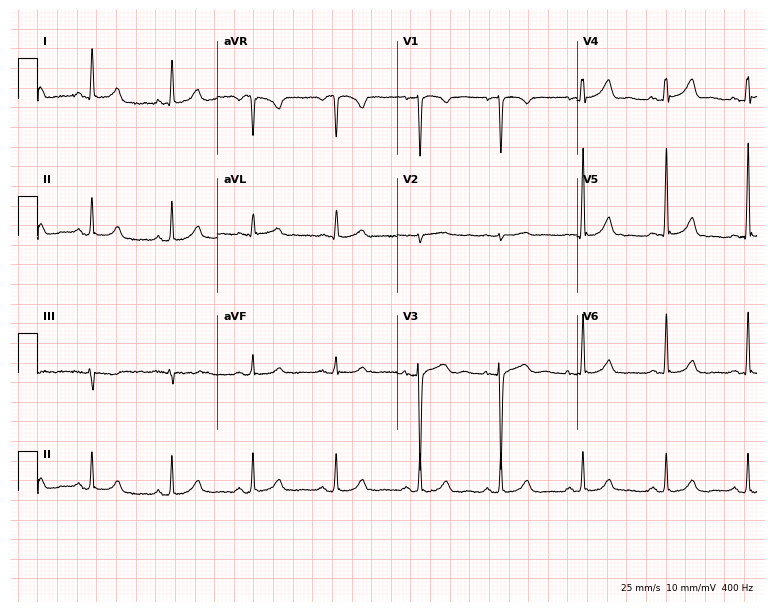
12-lead ECG from a 42-year-old woman. Recorded interpretation: within normal limits.